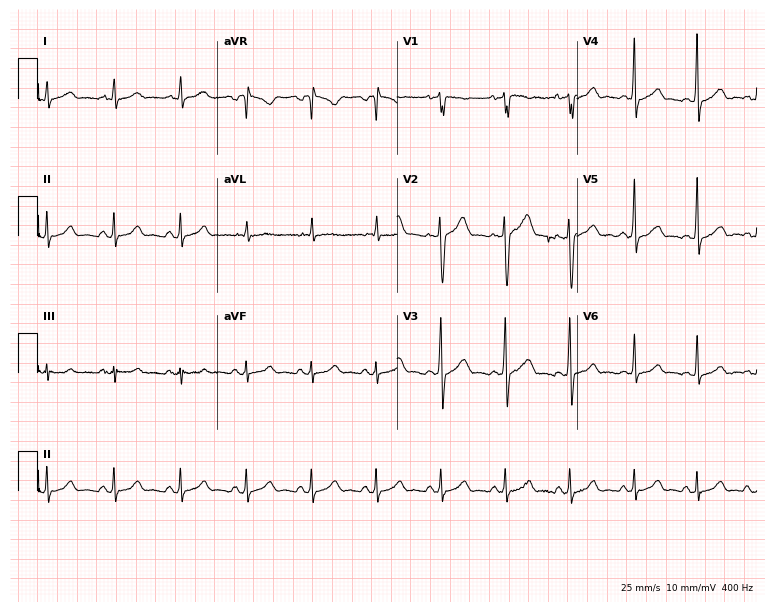
ECG — a male patient, 33 years old. Labelled as a normal ECG.